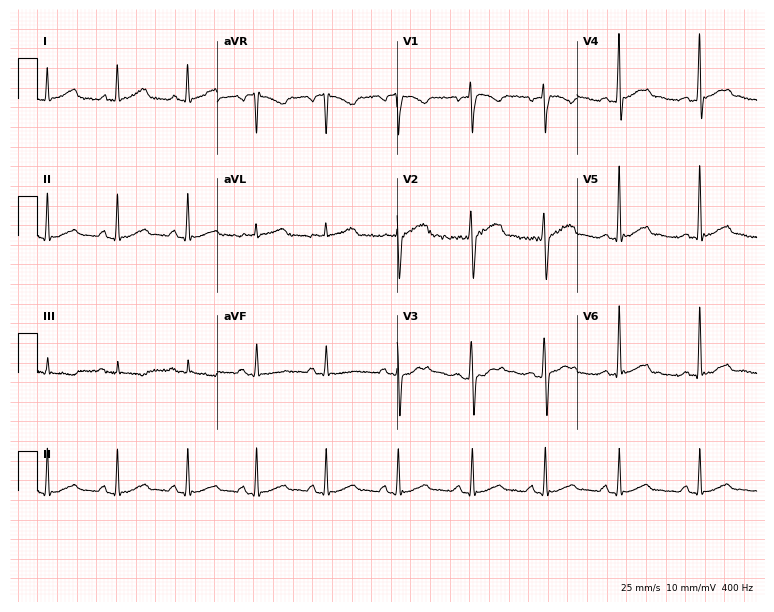
ECG — a male, 32 years old. Labelled as a normal ECG.